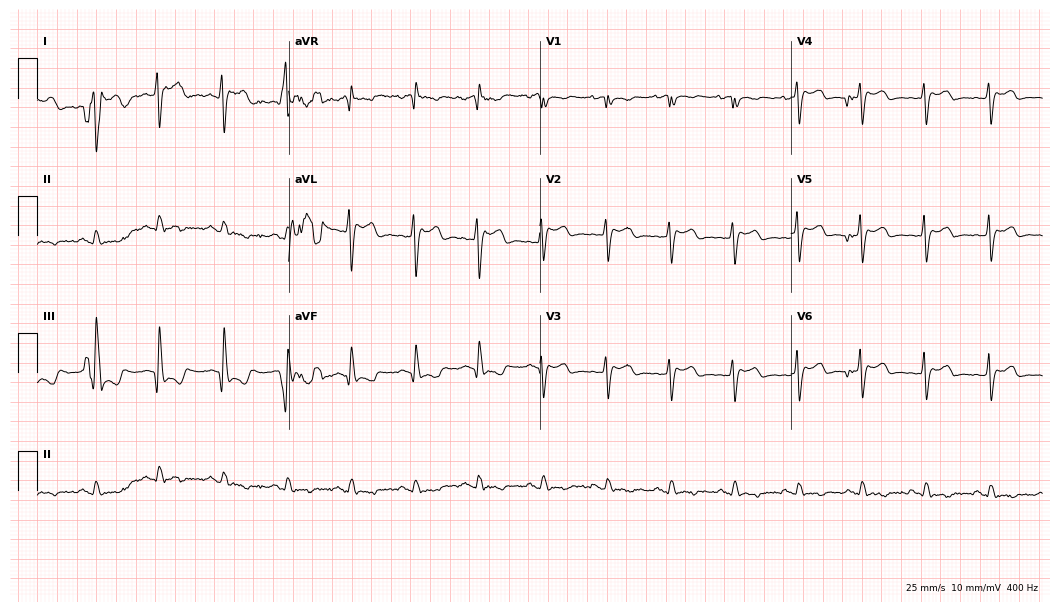
12-lead ECG from a 68-year-old male (10.2-second recording at 400 Hz). No first-degree AV block, right bundle branch block, left bundle branch block, sinus bradycardia, atrial fibrillation or sinus tachycardia recorded for this tracing. Other findings, if any, are not listed.